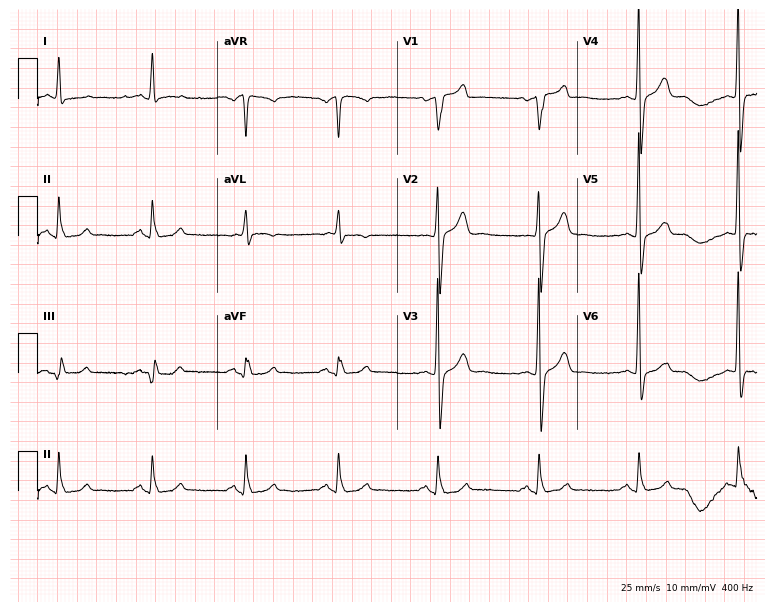
Standard 12-lead ECG recorded from a male patient, 55 years old (7.3-second recording at 400 Hz). None of these six findings is recorded: first-degree AV block, right bundle branch block, left bundle branch block, sinus bradycardia, atrial fibrillation, sinus tachycardia. Findings outside these six are not listed.